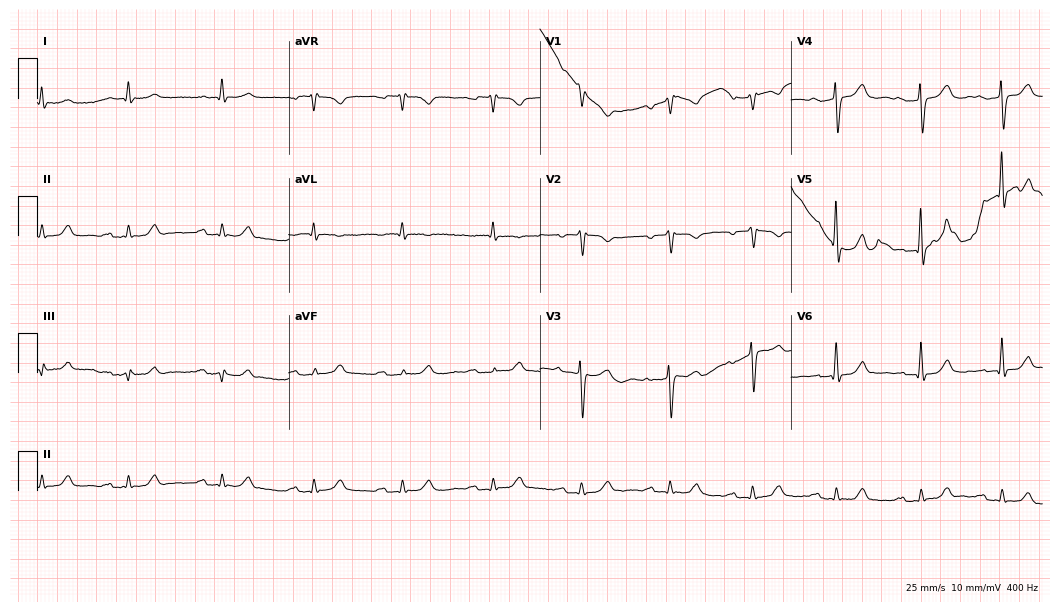
Electrocardiogram (10.2-second recording at 400 Hz), a female patient, 86 years old. Interpretation includes first-degree AV block.